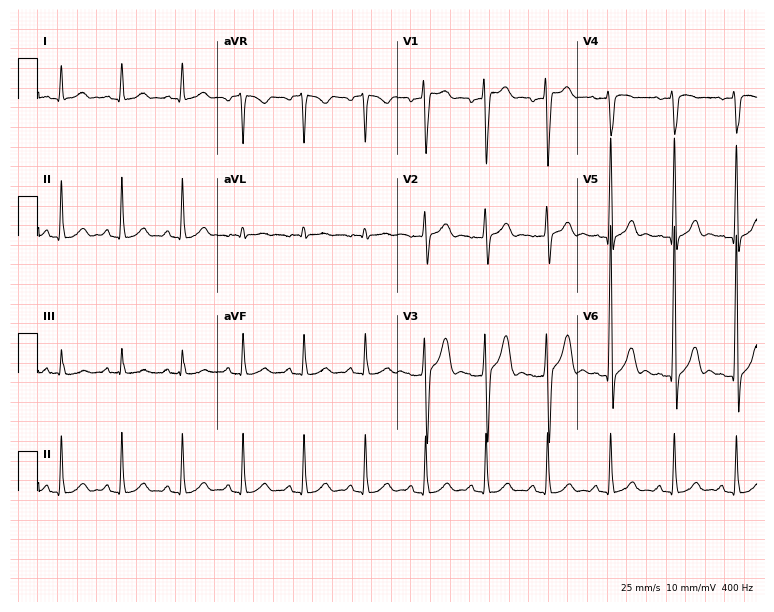
12-lead ECG from a 20-year-old male. Recorded interpretation: within normal limits.